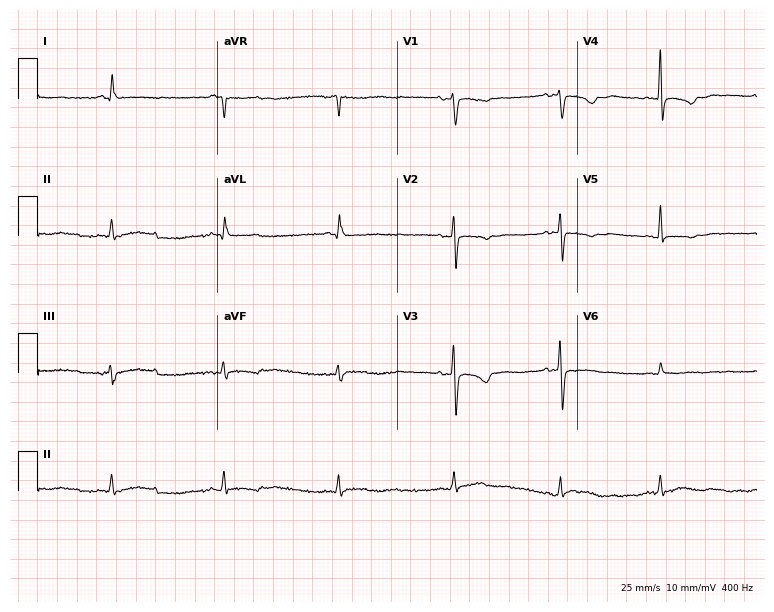
12-lead ECG (7.3-second recording at 400 Hz) from a 44-year-old female. Screened for six findings — first-degree AV block, right bundle branch block, left bundle branch block, sinus bradycardia, atrial fibrillation, sinus tachycardia — none is recorded. Only these six findings were labelled.